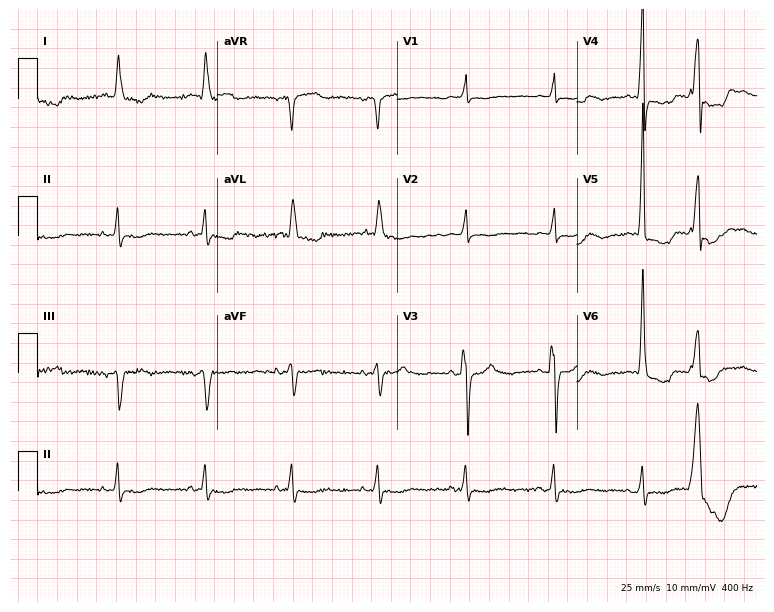
Resting 12-lead electrocardiogram. Patient: a 68-year-old male. The tracing shows left bundle branch block.